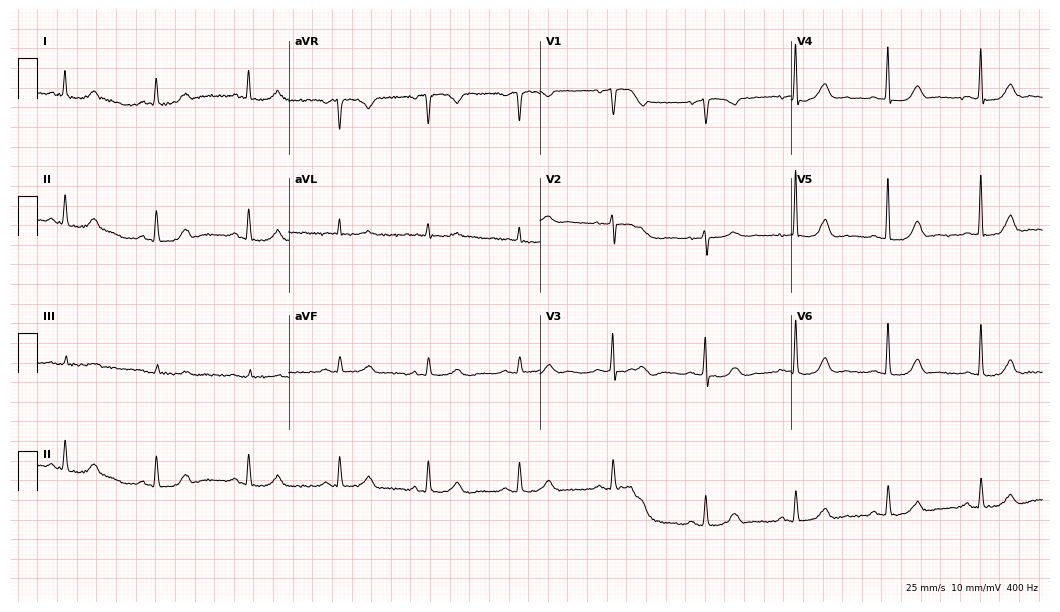
12-lead ECG from a female, 82 years old. No first-degree AV block, right bundle branch block, left bundle branch block, sinus bradycardia, atrial fibrillation or sinus tachycardia recorded for this tracing. Findings outside these six are not listed.